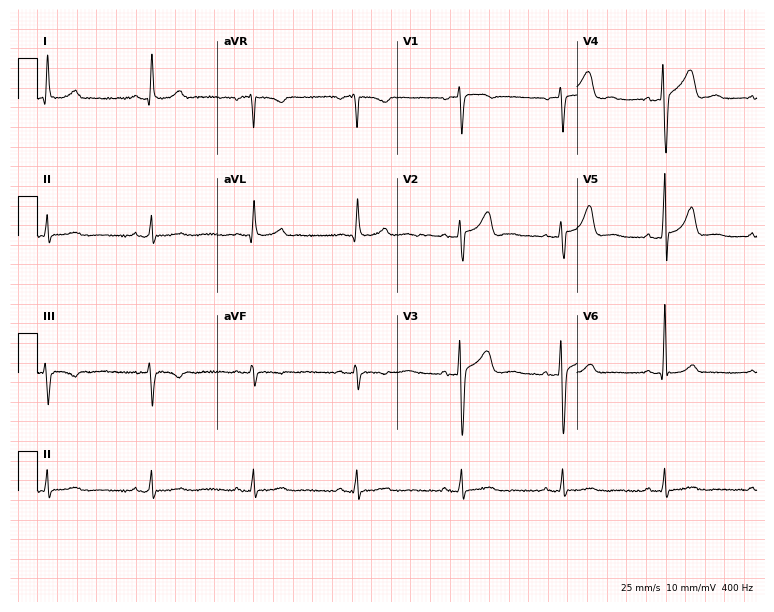
ECG (7.3-second recording at 400 Hz) — a male patient, 54 years old. Screened for six findings — first-degree AV block, right bundle branch block, left bundle branch block, sinus bradycardia, atrial fibrillation, sinus tachycardia — none is recorded.